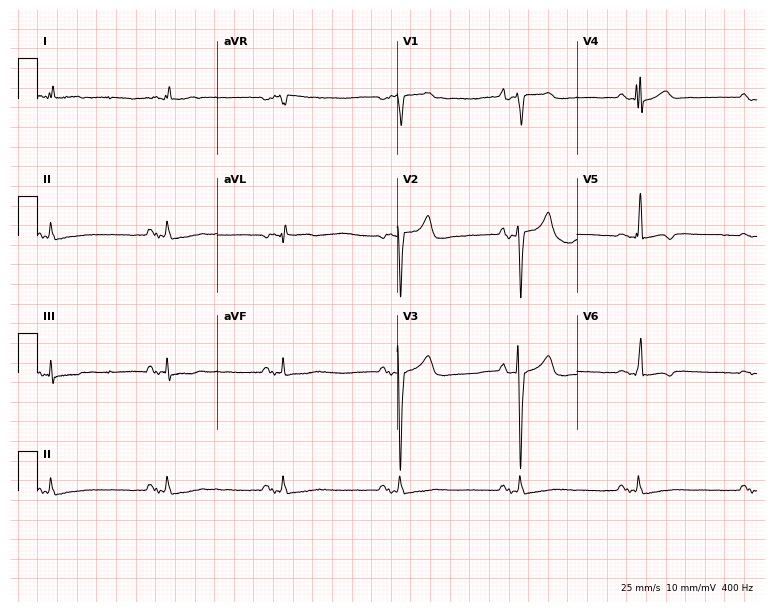
Standard 12-lead ECG recorded from a man, 50 years old. The tracing shows sinus bradycardia (a sinus rate of 50 beats per minute or less).